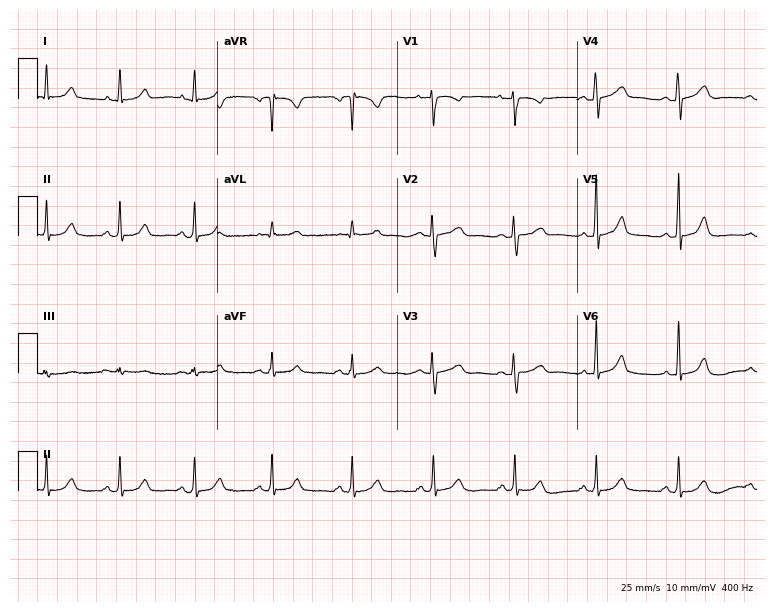
12-lead ECG from a 47-year-old female. No first-degree AV block, right bundle branch block, left bundle branch block, sinus bradycardia, atrial fibrillation or sinus tachycardia recorded for this tracing.